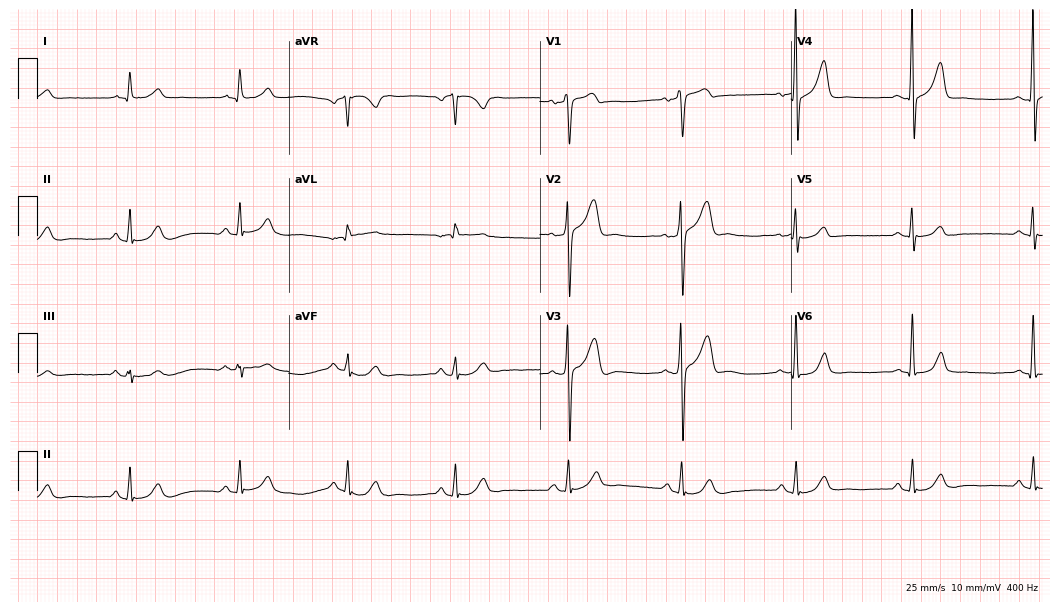
ECG (10.2-second recording at 400 Hz) — a male patient, 72 years old. Labelled as a normal ECG.